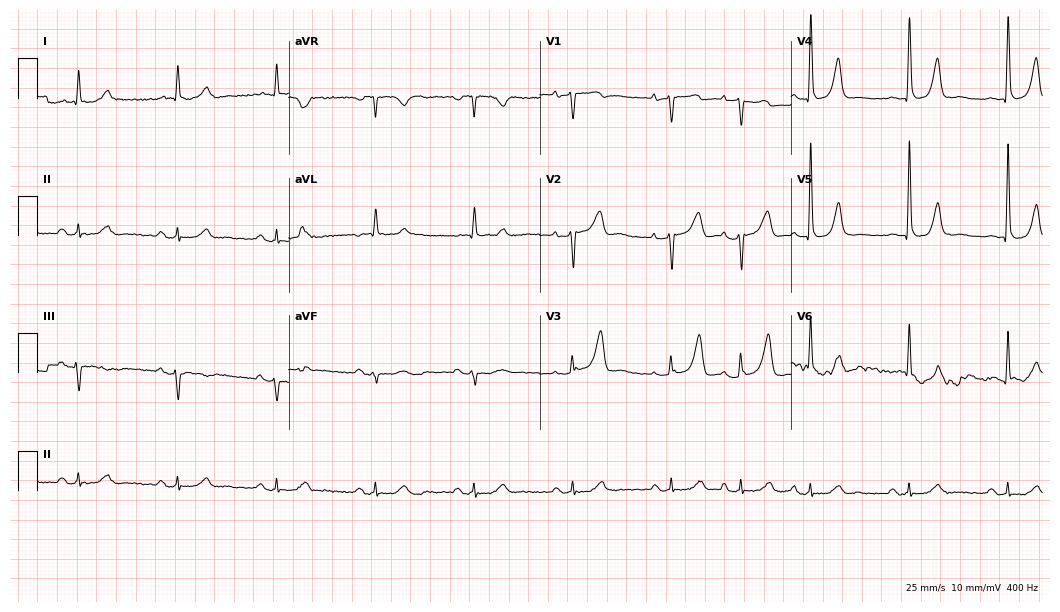
Standard 12-lead ECG recorded from an 85-year-old female patient. Read as a normal ECG.